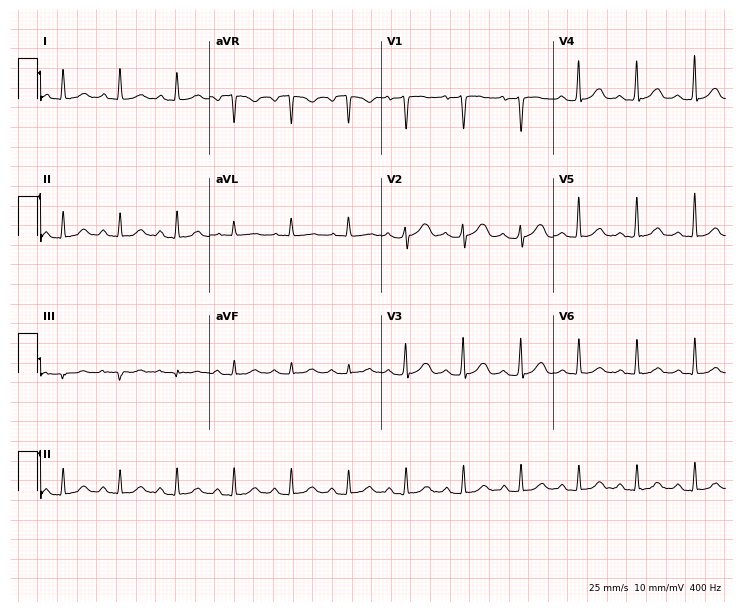
ECG — a 56-year-old female. Screened for six findings — first-degree AV block, right bundle branch block, left bundle branch block, sinus bradycardia, atrial fibrillation, sinus tachycardia — none is recorded.